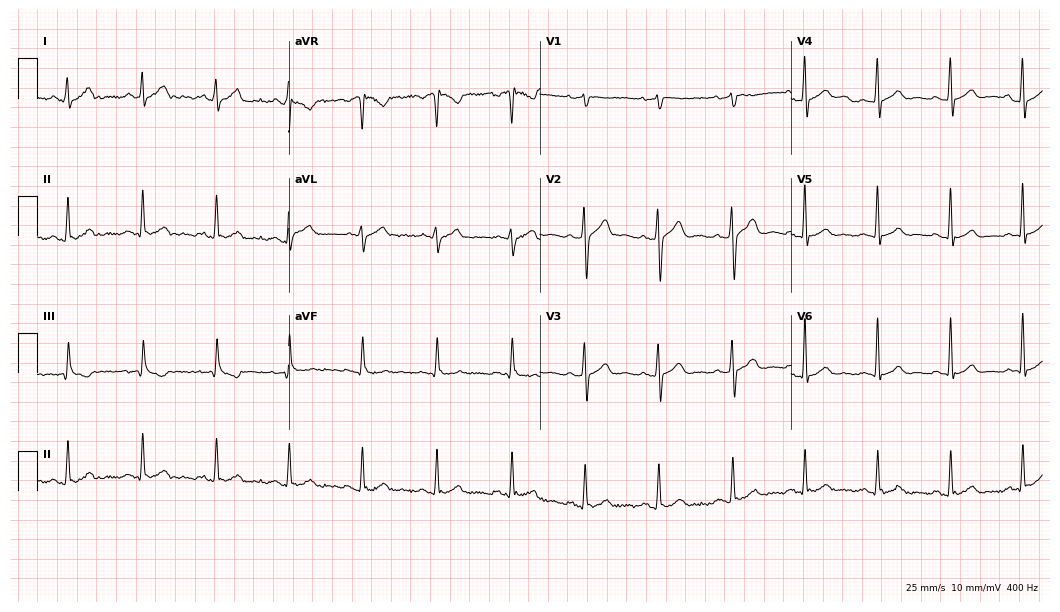
12-lead ECG from a 36-year-old man. Labelled as a normal ECG.